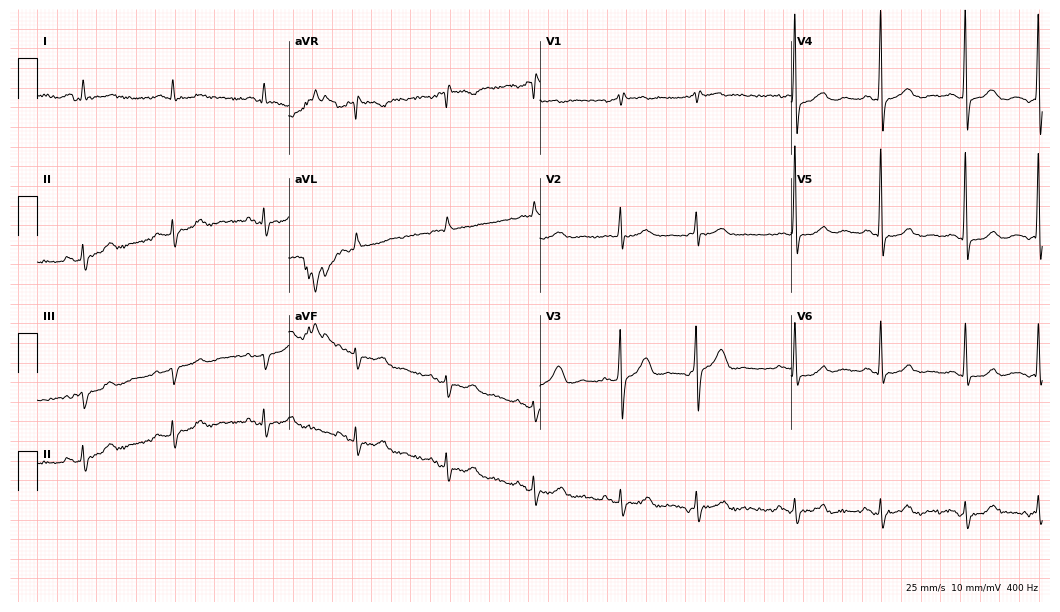
ECG — a 70-year-old male. Screened for six findings — first-degree AV block, right bundle branch block, left bundle branch block, sinus bradycardia, atrial fibrillation, sinus tachycardia — none is recorded.